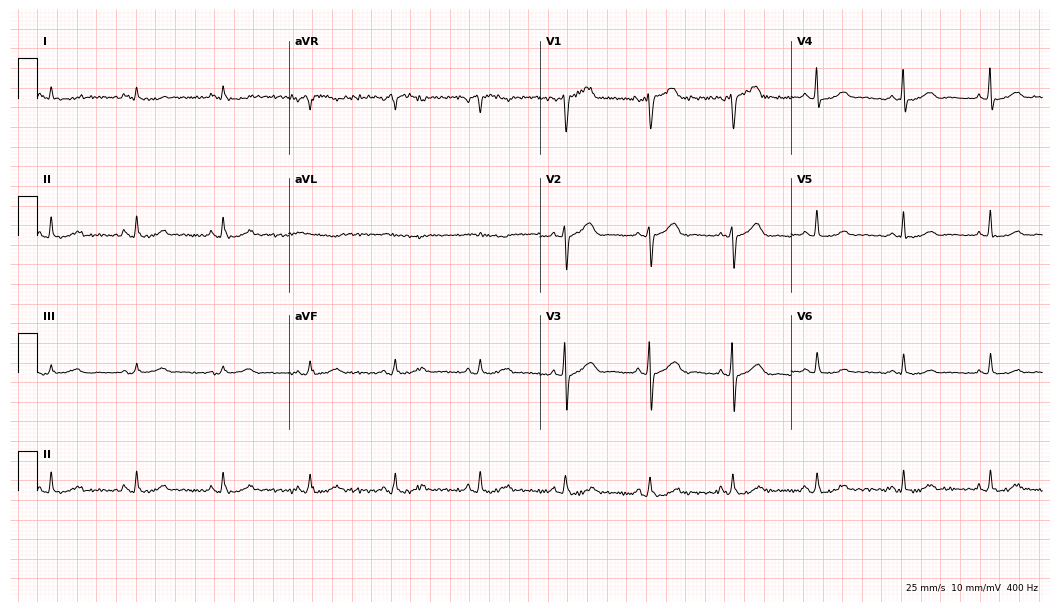
Standard 12-lead ECG recorded from a 65-year-old male. Read as a normal ECG.